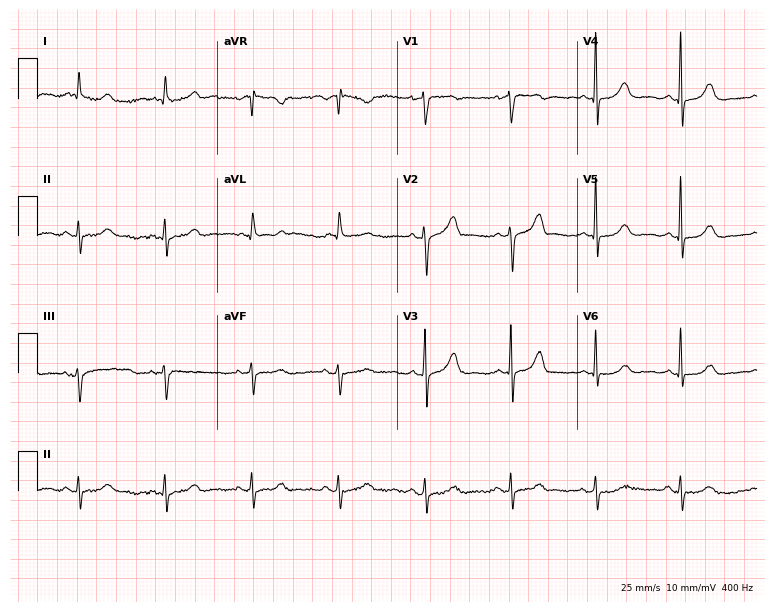
Resting 12-lead electrocardiogram (7.3-second recording at 400 Hz). Patient: a female, 88 years old. None of these six findings is recorded: first-degree AV block, right bundle branch block, left bundle branch block, sinus bradycardia, atrial fibrillation, sinus tachycardia.